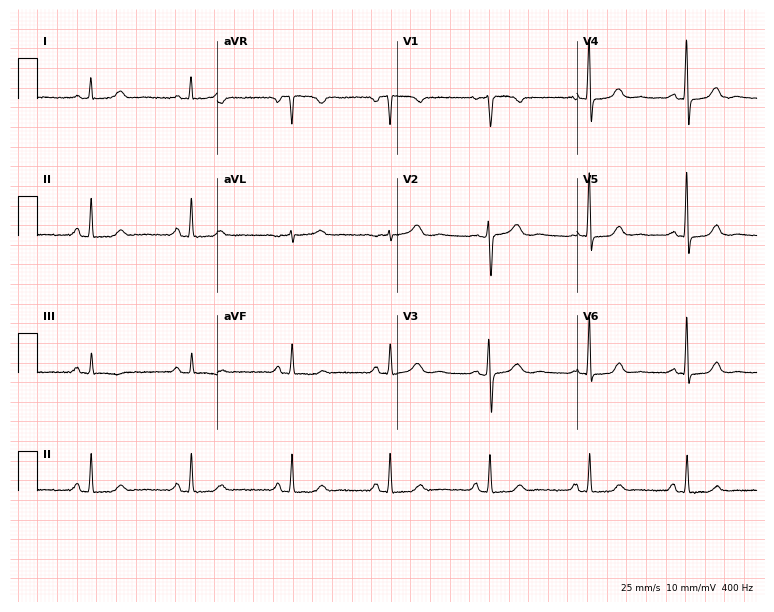
12-lead ECG from a 57-year-old female. Labelled as a normal ECG.